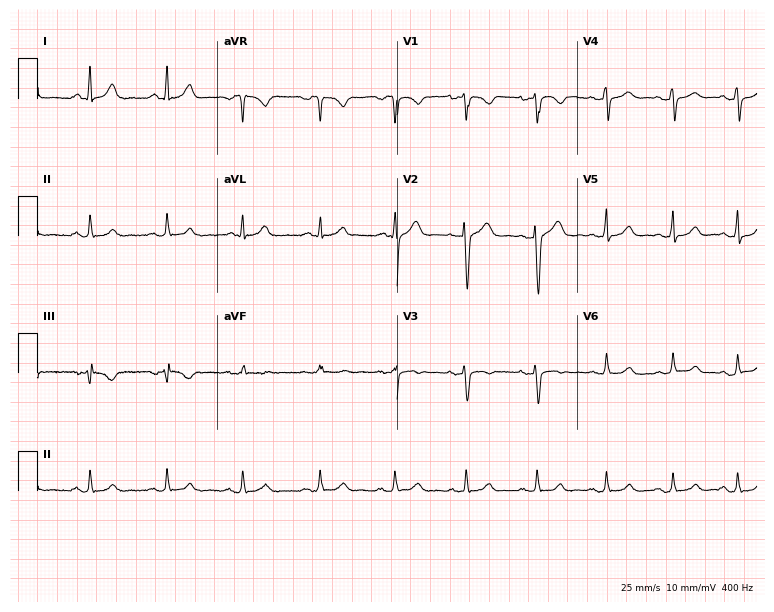
Standard 12-lead ECG recorded from a 39-year-old woman. Read as a normal ECG.